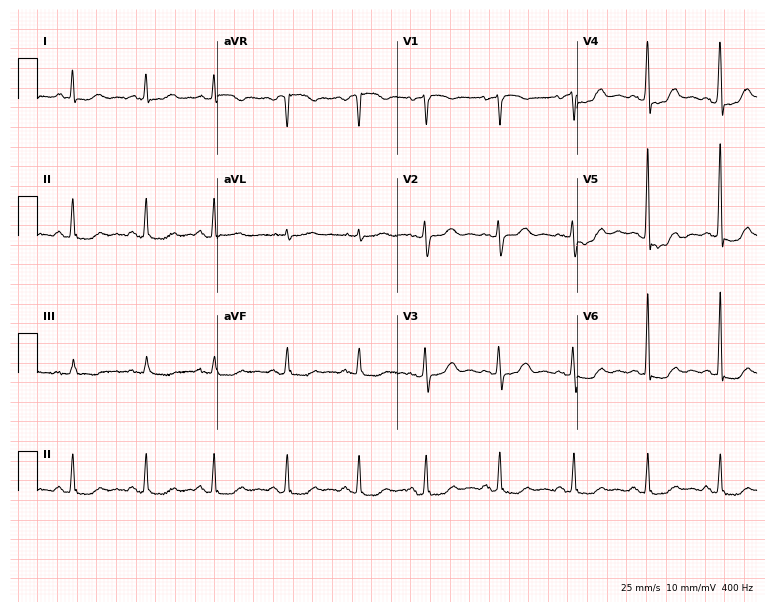
Electrocardiogram (7.3-second recording at 400 Hz), a 65-year-old female patient. Of the six screened findings (first-degree AV block, right bundle branch block, left bundle branch block, sinus bradycardia, atrial fibrillation, sinus tachycardia), none is recorded. Findings outside these six are not listed.